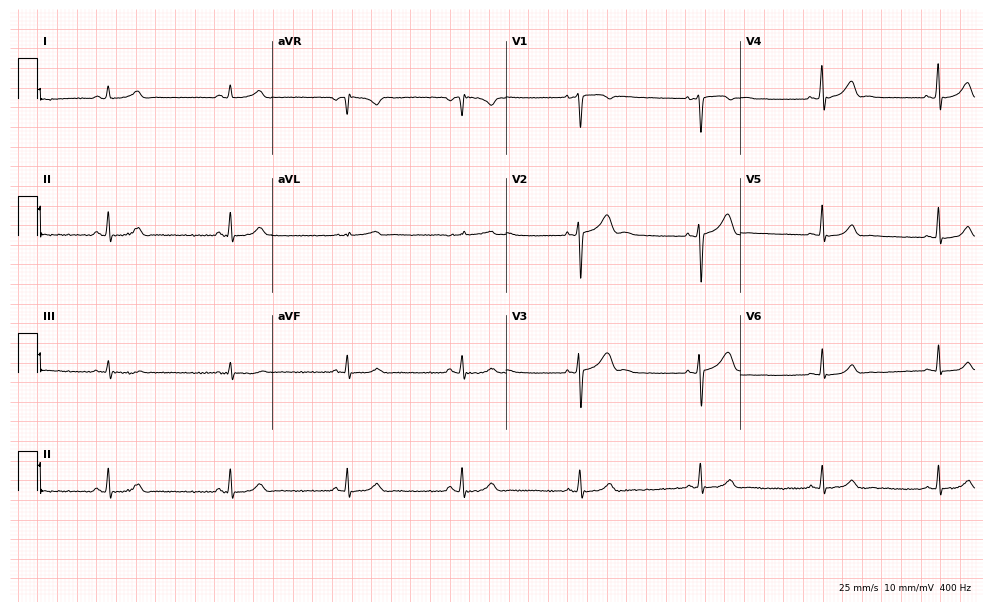
Resting 12-lead electrocardiogram. Patient: a female, 21 years old. None of these six findings is recorded: first-degree AV block, right bundle branch block (RBBB), left bundle branch block (LBBB), sinus bradycardia, atrial fibrillation (AF), sinus tachycardia. Only these six findings were labelled.